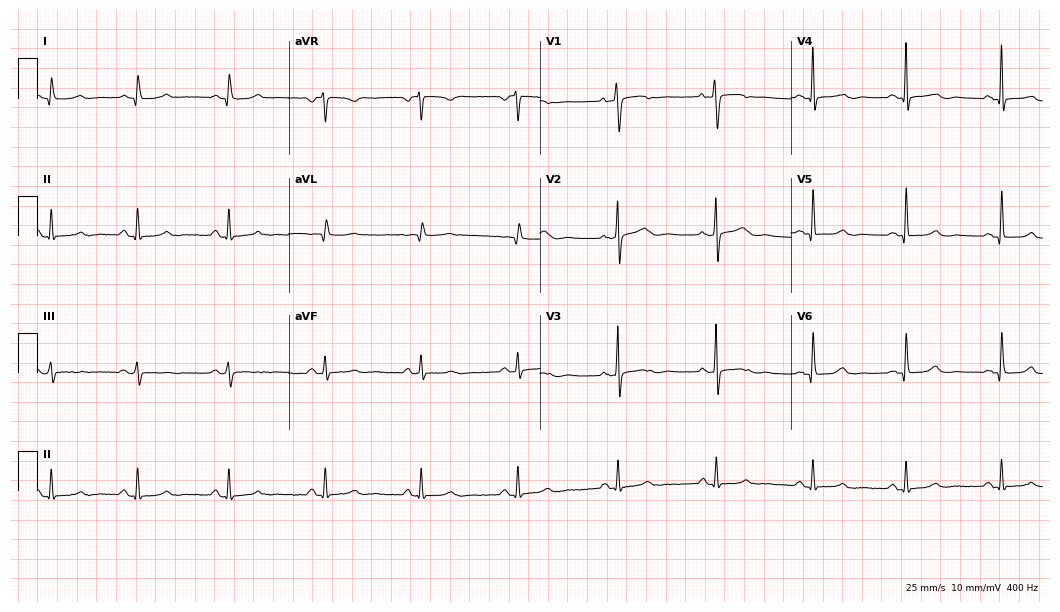
12-lead ECG from a 58-year-old male. Recorded interpretation: within normal limits.